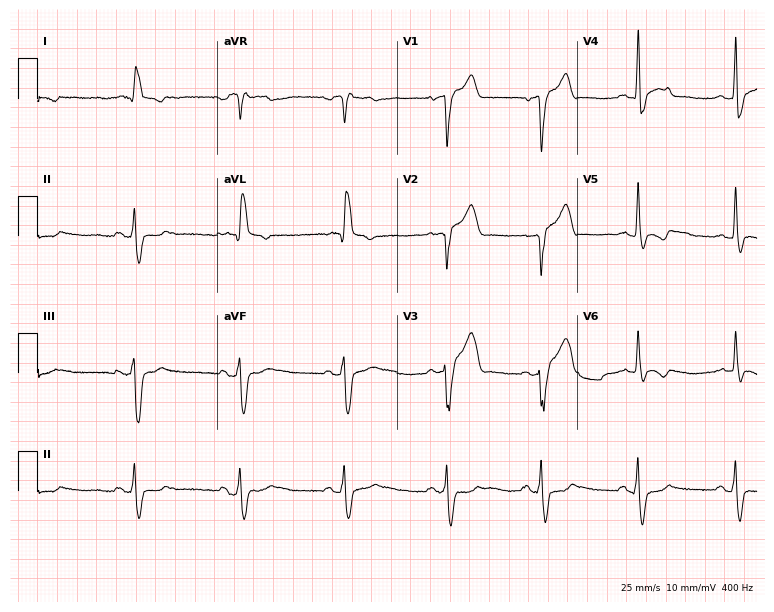
12-lead ECG from a 61-year-old man. Findings include left bundle branch block.